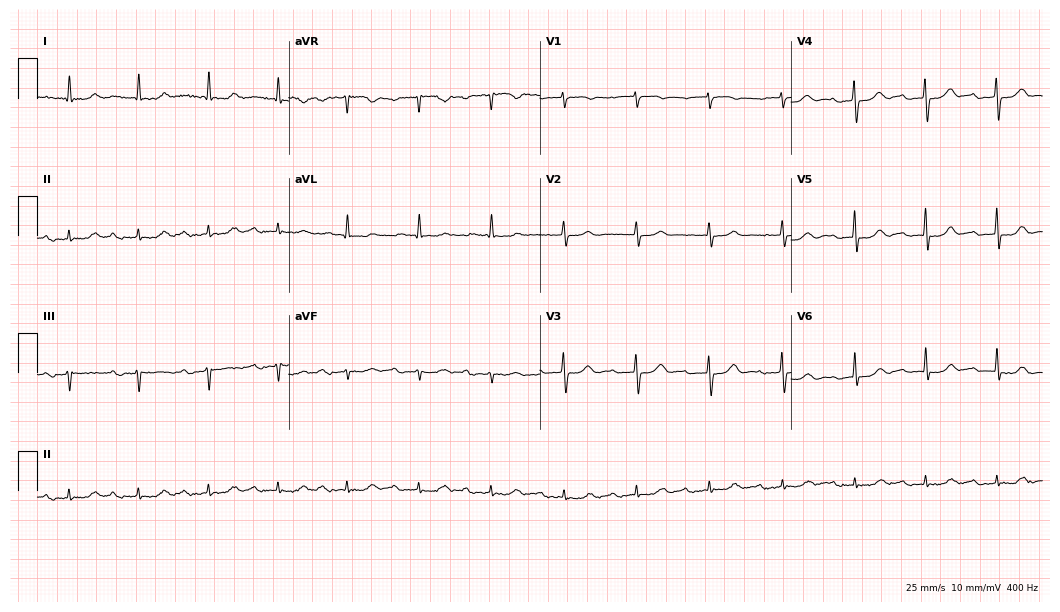
Resting 12-lead electrocardiogram (10.2-second recording at 400 Hz). Patient: an 81-year-old female. The tracing shows first-degree AV block.